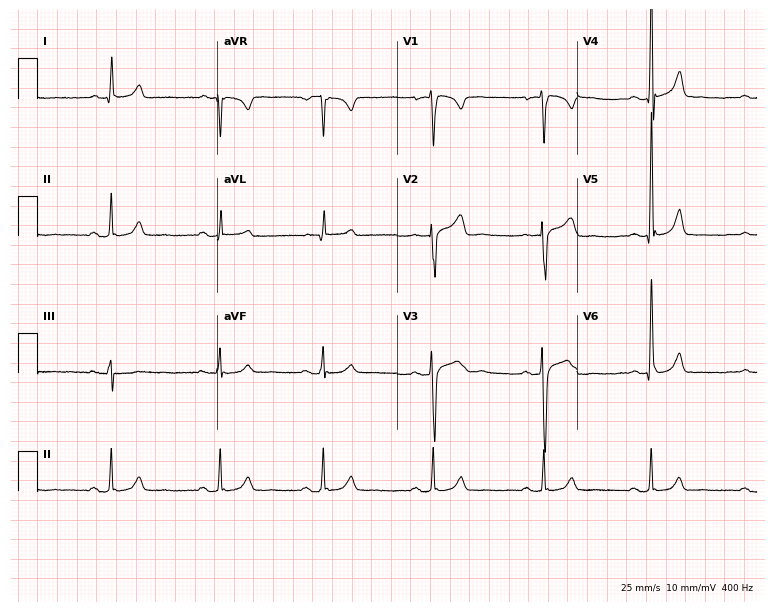
Electrocardiogram (7.3-second recording at 400 Hz), a male, 45 years old. Overall reading on record: normal ECG.